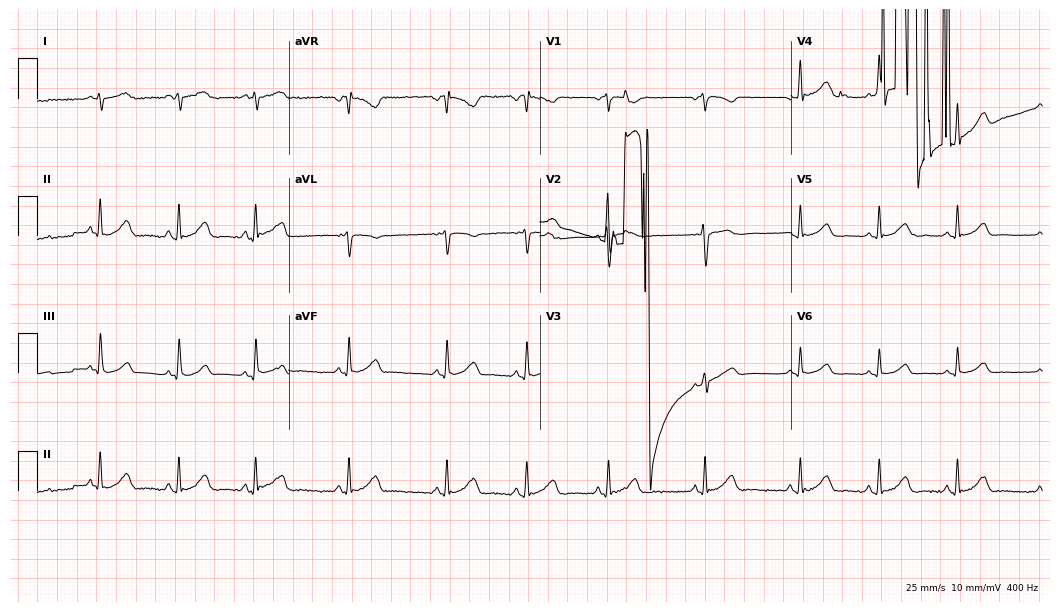
12-lead ECG (10.2-second recording at 400 Hz) from a female, 29 years old. Screened for six findings — first-degree AV block, right bundle branch block (RBBB), left bundle branch block (LBBB), sinus bradycardia, atrial fibrillation (AF), sinus tachycardia — none is recorded.